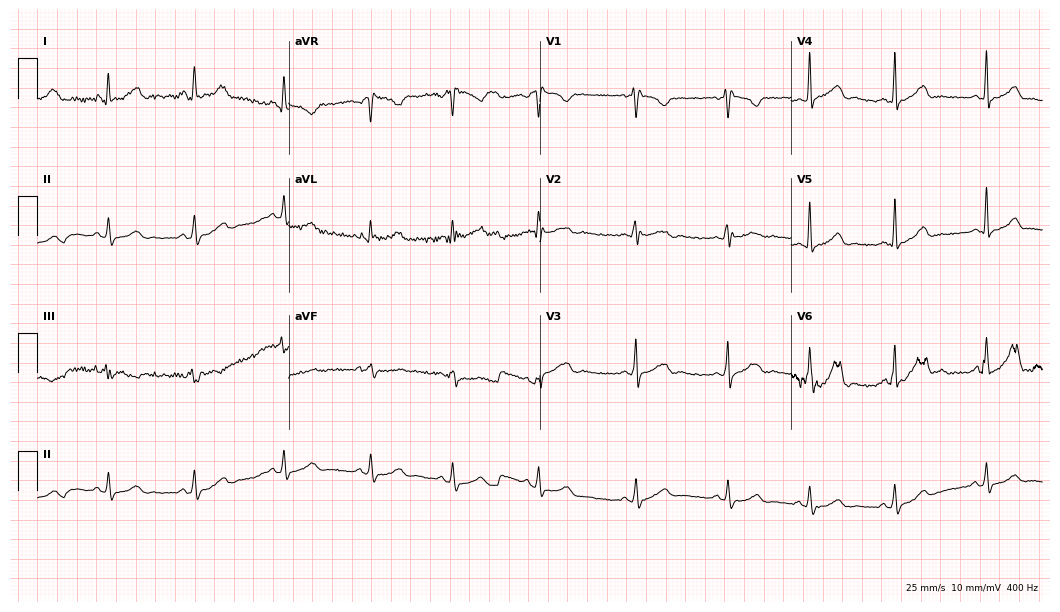
ECG (10.2-second recording at 400 Hz) — a woman, 23 years old. Screened for six findings — first-degree AV block, right bundle branch block (RBBB), left bundle branch block (LBBB), sinus bradycardia, atrial fibrillation (AF), sinus tachycardia — none is recorded.